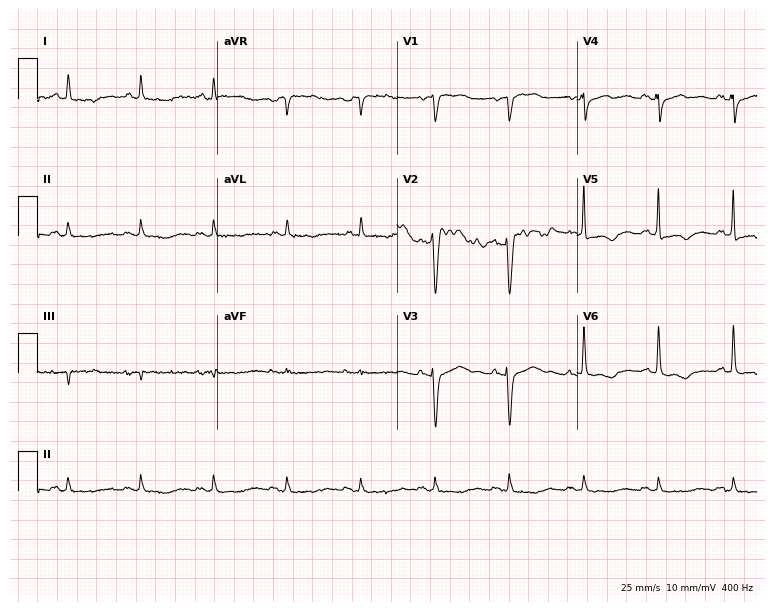
12-lead ECG from a 73-year-old man. Screened for six findings — first-degree AV block, right bundle branch block (RBBB), left bundle branch block (LBBB), sinus bradycardia, atrial fibrillation (AF), sinus tachycardia — none is recorded. Findings outside these six are not listed.